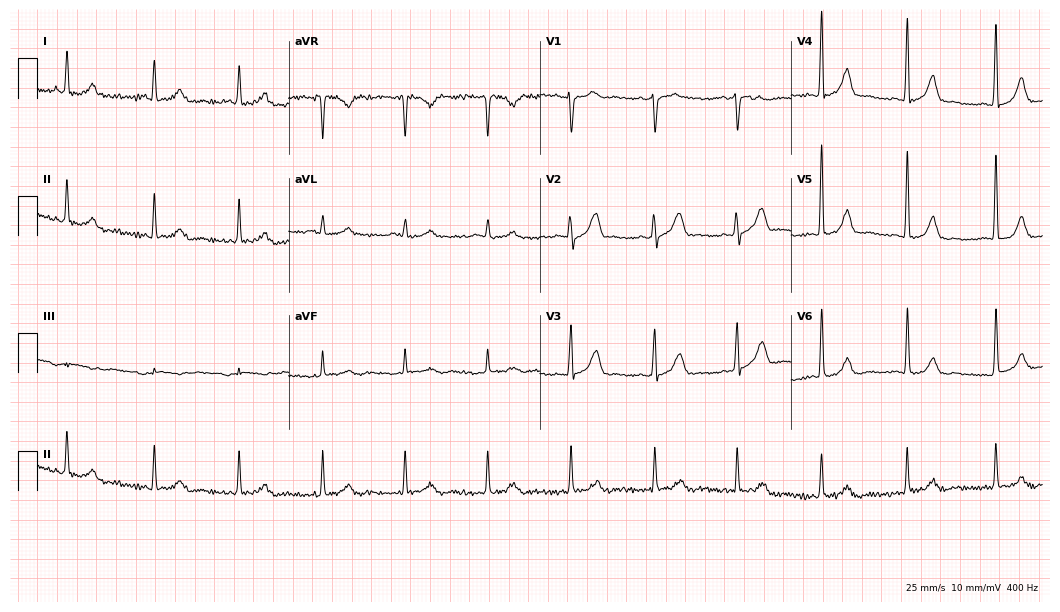
Standard 12-lead ECG recorded from a 31-year-old male (10.2-second recording at 400 Hz). Read as a normal ECG.